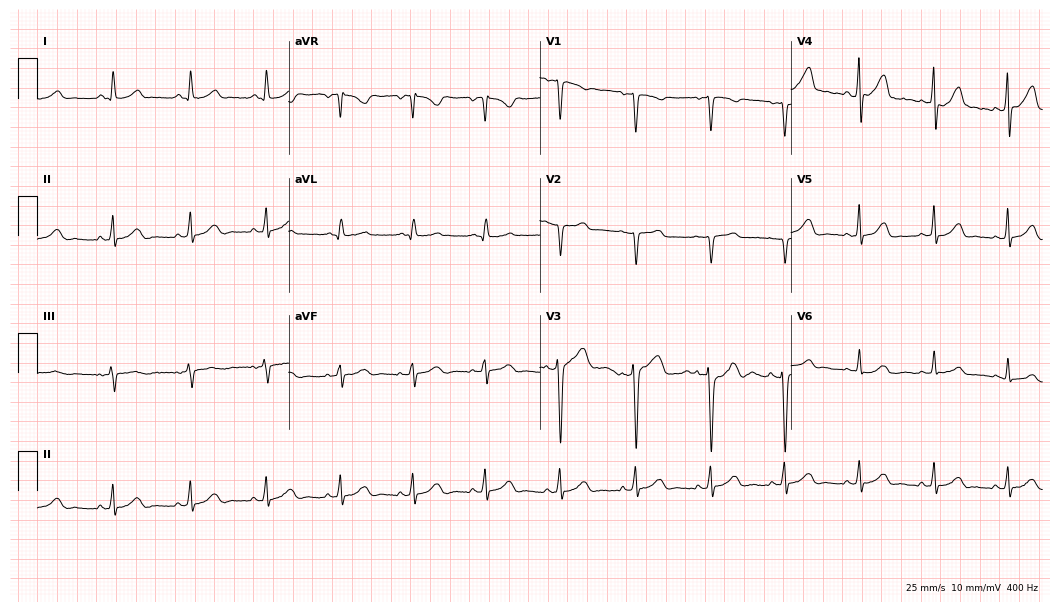
Electrocardiogram (10.2-second recording at 400 Hz), a 39-year-old woman. Overall reading on record: normal ECG.